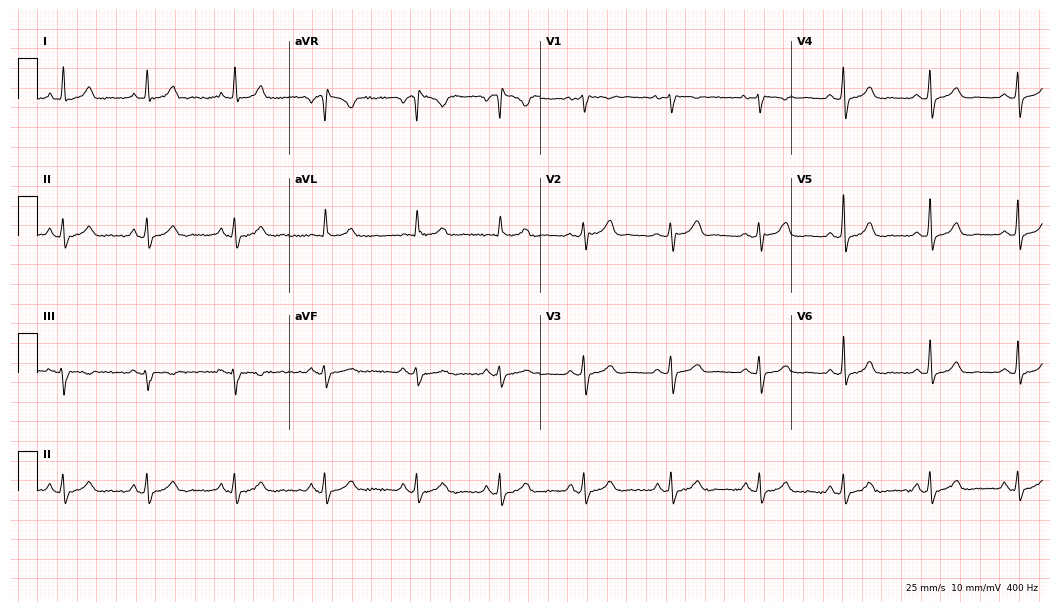
Electrocardiogram (10.2-second recording at 400 Hz), a female patient, 39 years old. Overall reading on record: normal ECG.